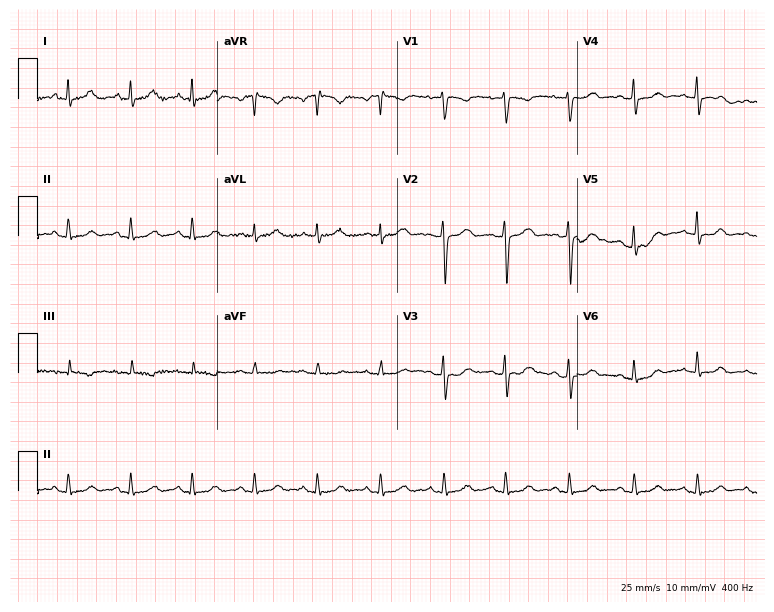
12-lead ECG (7.3-second recording at 400 Hz) from a woman, 37 years old. Screened for six findings — first-degree AV block, right bundle branch block, left bundle branch block, sinus bradycardia, atrial fibrillation, sinus tachycardia — none is recorded.